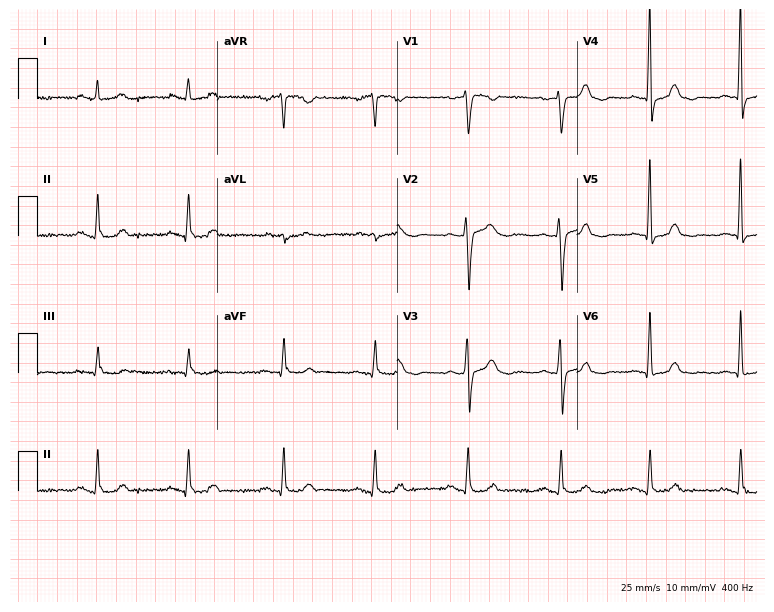
Resting 12-lead electrocardiogram (7.3-second recording at 400 Hz). Patient: a 42-year-old female. None of these six findings is recorded: first-degree AV block, right bundle branch block, left bundle branch block, sinus bradycardia, atrial fibrillation, sinus tachycardia. Findings outside these six are not listed.